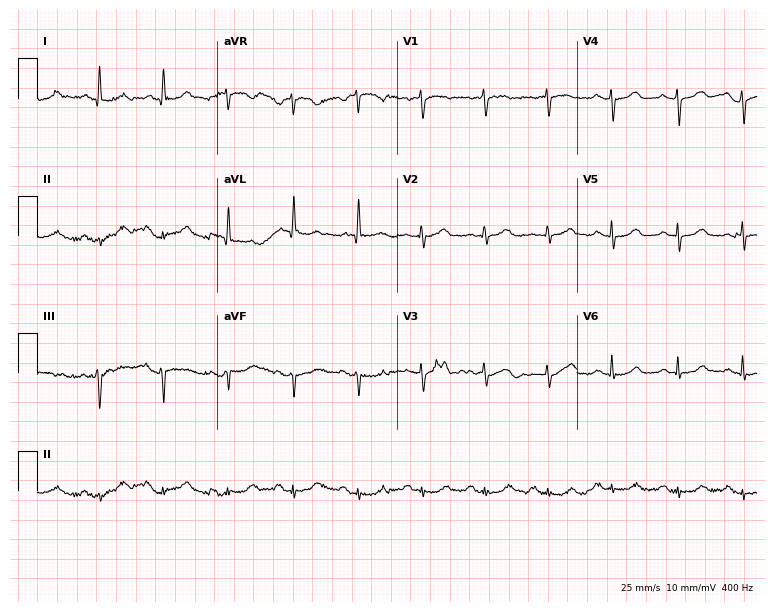
12-lead ECG (7.3-second recording at 400 Hz) from a 66-year-old woman. Labelled as a normal ECG.